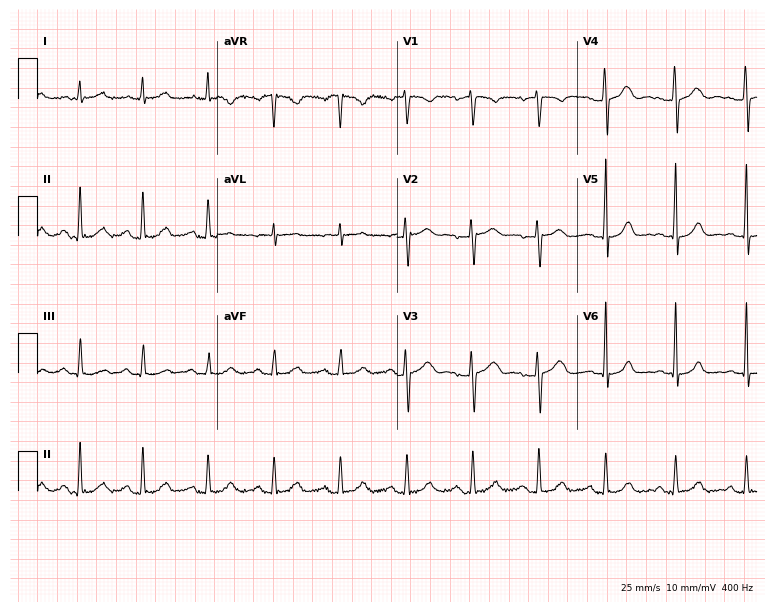
Electrocardiogram, a 39-year-old woman. Of the six screened findings (first-degree AV block, right bundle branch block (RBBB), left bundle branch block (LBBB), sinus bradycardia, atrial fibrillation (AF), sinus tachycardia), none is recorded.